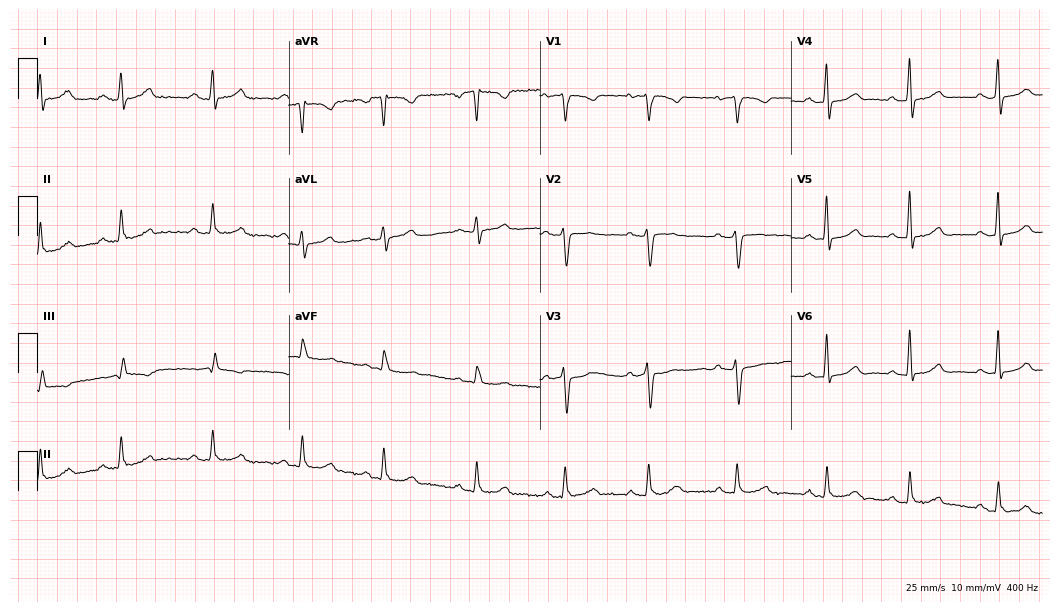
Resting 12-lead electrocardiogram. Patient: a 40-year-old female. Read as a normal ECG.